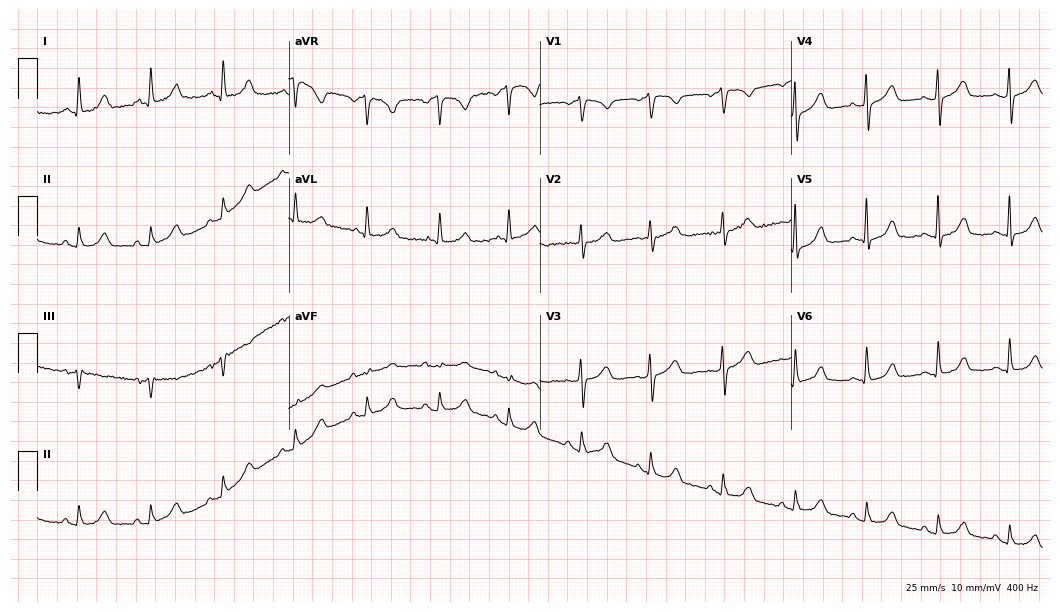
12-lead ECG from a woman, 66 years old (10.2-second recording at 400 Hz). No first-degree AV block, right bundle branch block, left bundle branch block, sinus bradycardia, atrial fibrillation or sinus tachycardia recorded for this tracing. Findings outside these six are not listed.